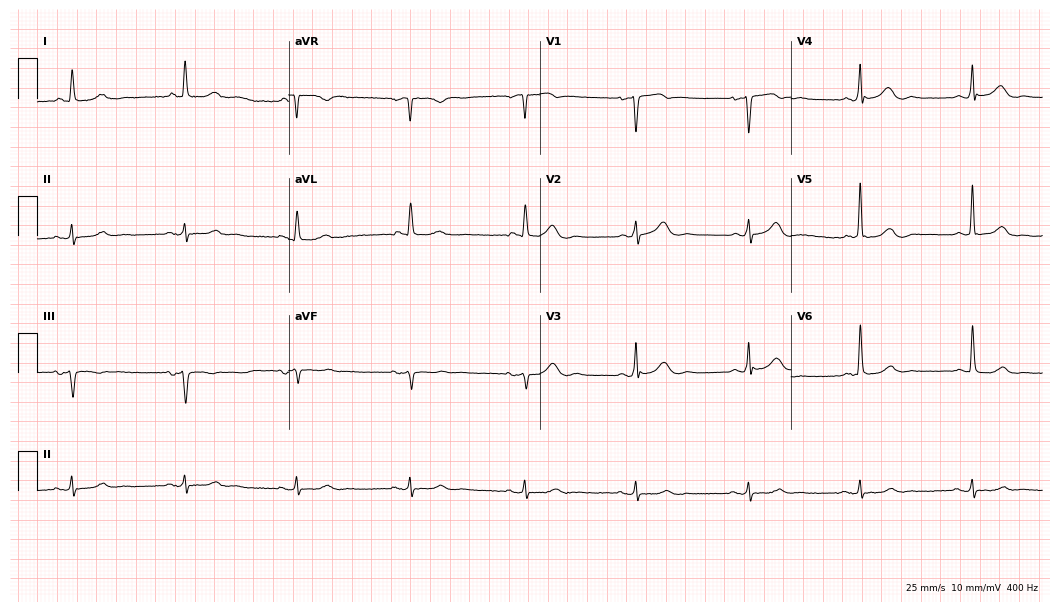
Standard 12-lead ECG recorded from a male, 79 years old. None of these six findings is recorded: first-degree AV block, right bundle branch block (RBBB), left bundle branch block (LBBB), sinus bradycardia, atrial fibrillation (AF), sinus tachycardia. Other findings, if any, are not listed.